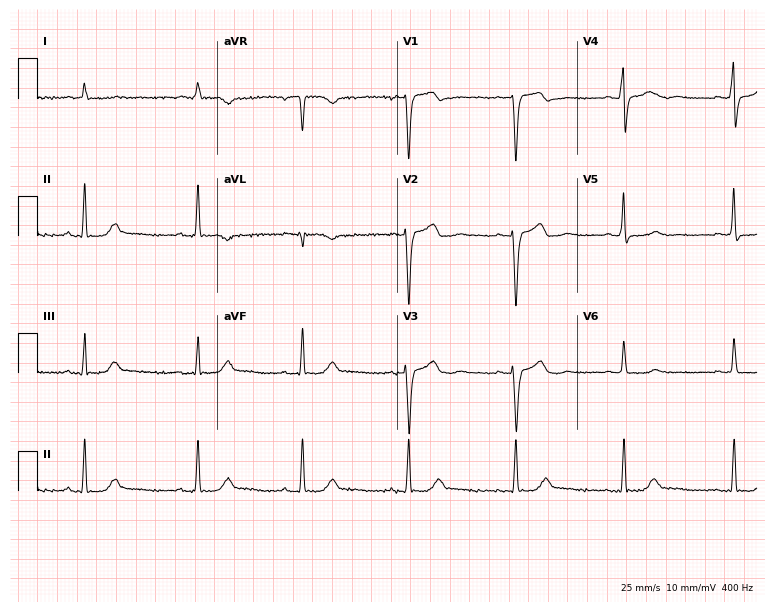
Standard 12-lead ECG recorded from a 69-year-old man. None of these six findings is recorded: first-degree AV block, right bundle branch block (RBBB), left bundle branch block (LBBB), sinus bradycardia, atrial fibrillation (AF), sinus tachycardia.